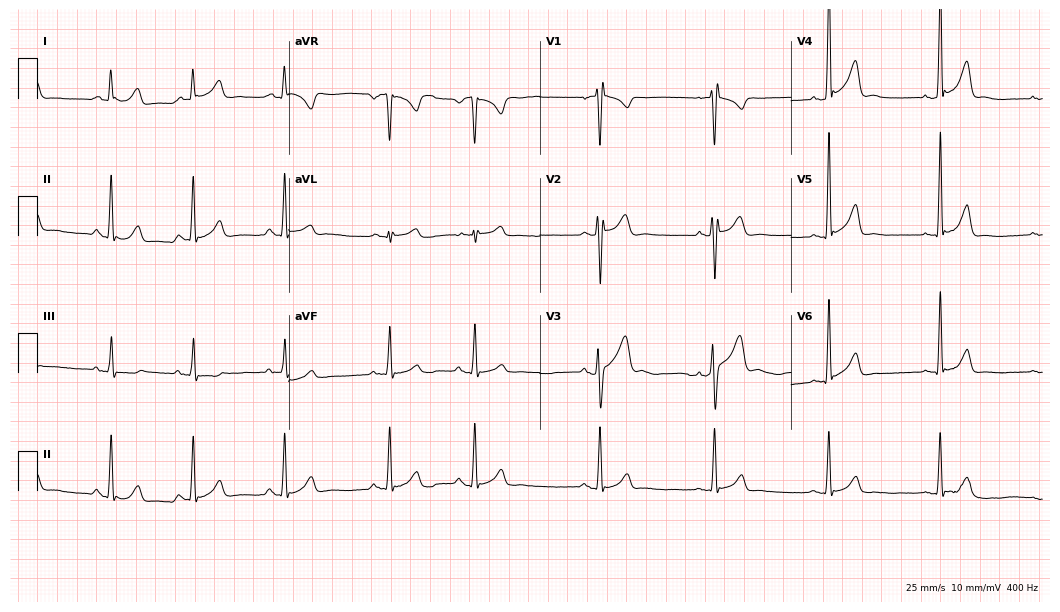
12-lead ECG (10.2-second recording at 400 Hz) from a male, 19 years old. Screened for six findings — first-degree AV block, right bundle branch block, left bundle branch block, sinus bradycardia, atrial fibrillation, sinus tachycardia — none is recorded. Findings outside these six are not listed.